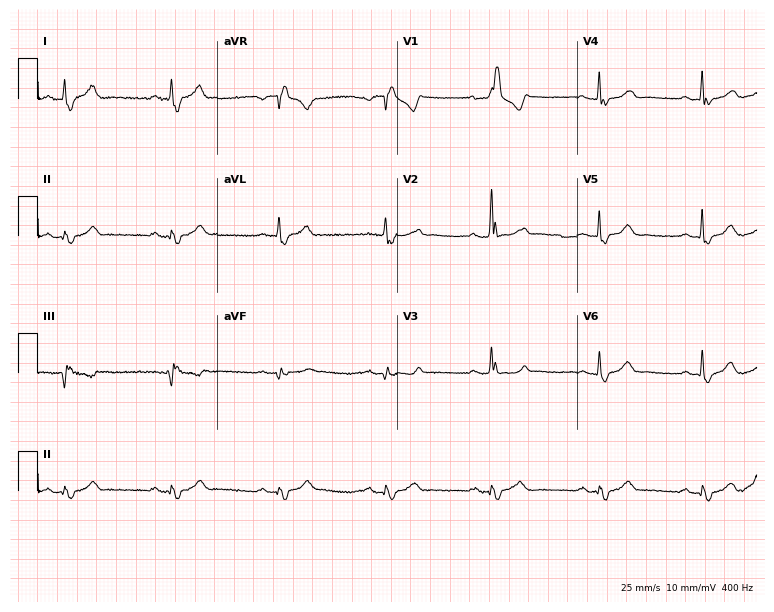
ECG (7.3-second recording at 400 Hz) — an 82-year-old male patient. Findings include right bundle branch block (RBBB).